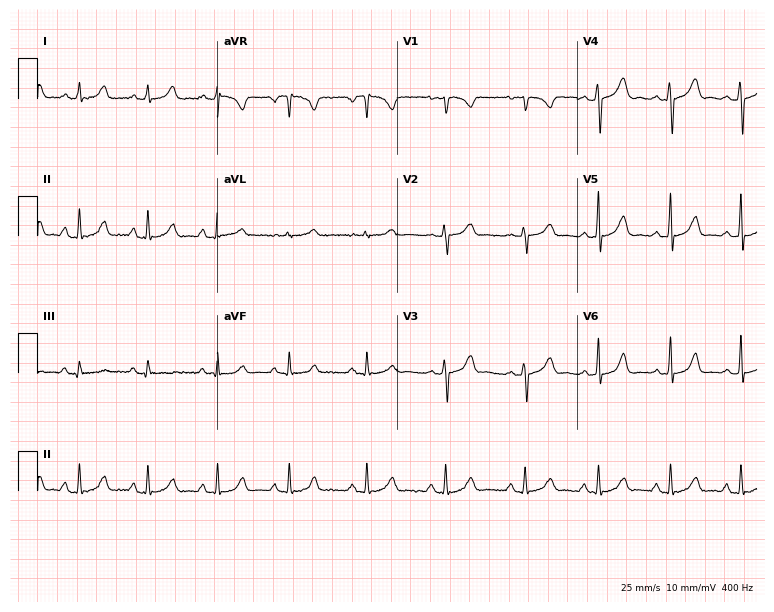
12-lead ECG from a female, 24 years old. Recorded interpretation: within normal limits.